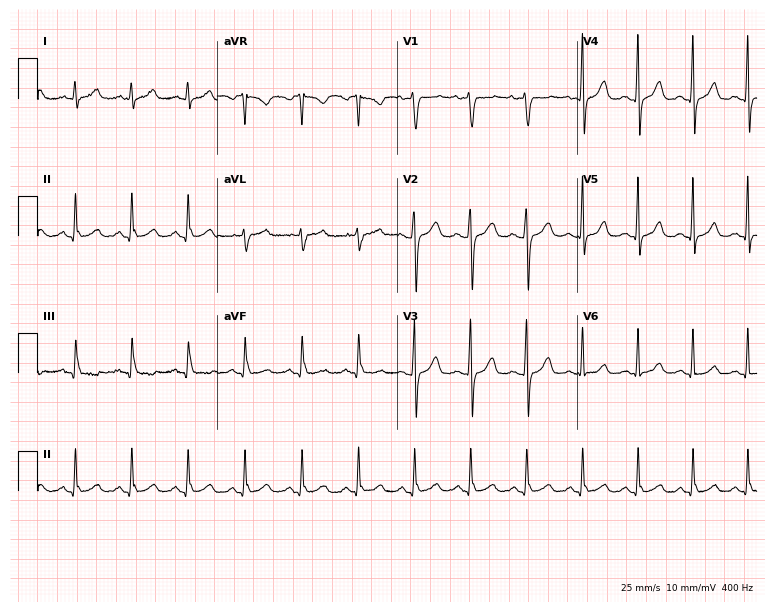
Electrocardiogram (7.3-second recording at 400 Hz), a woman, 40 years old. Interpretation includes sinus tachycardia (a sinus rate of 100 beats per minute or more).